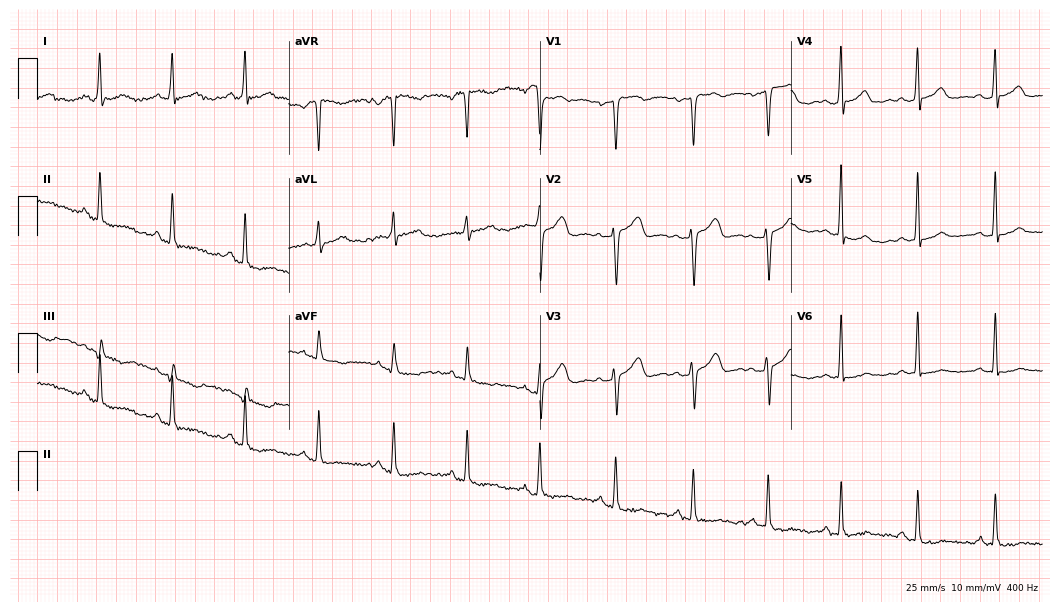
12-lead ECG from a 45-year-old female. Labelled as a normal ECG.